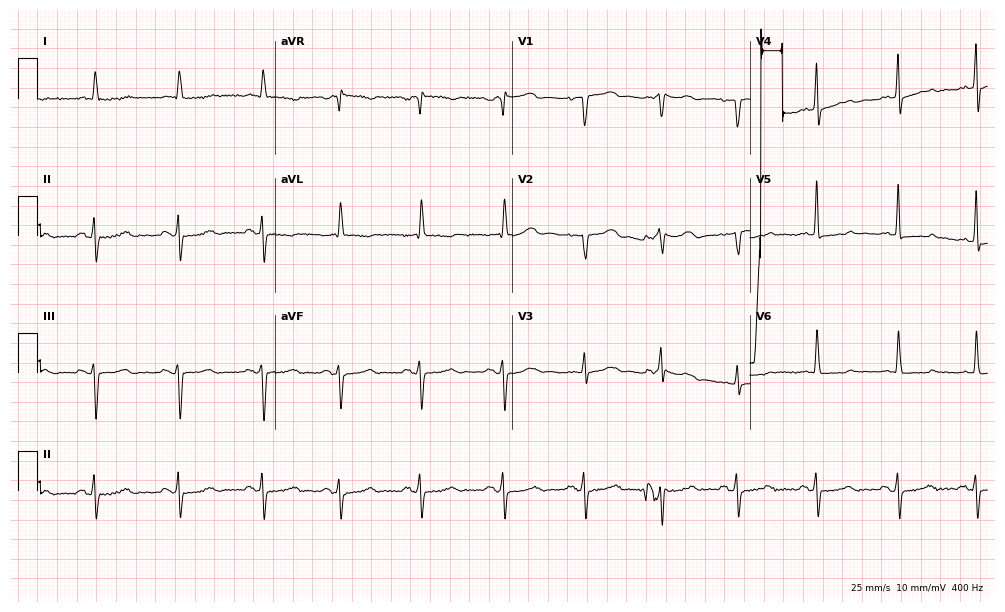
12-lead ECG (9.7-second recording at 400 Hz) from an 83-year-old woman. Screened for six findings — first-degree AV block, right bundle branch block, left bundle branch block, sinus bradycardia, atrial fibrillation, sinus tachycardia — none is recorded. Only these six findings were labelled.